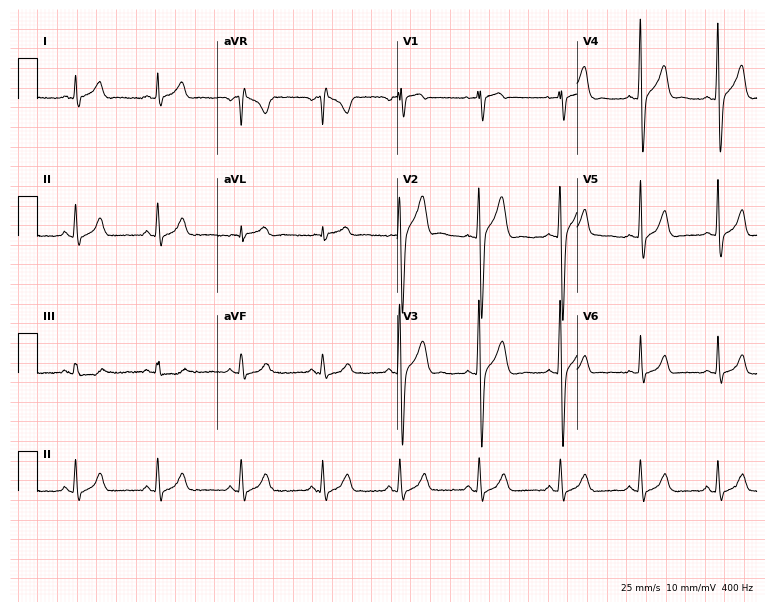
ECG (7.3-second recording at 400 Hz) — a man, 30 years old. Screened for six findings — first-degree AV block, right bundle branch block, left bundle branch block, sinus bradycardia, atrial fibrillation, sinus tachycardia — none is recorded.